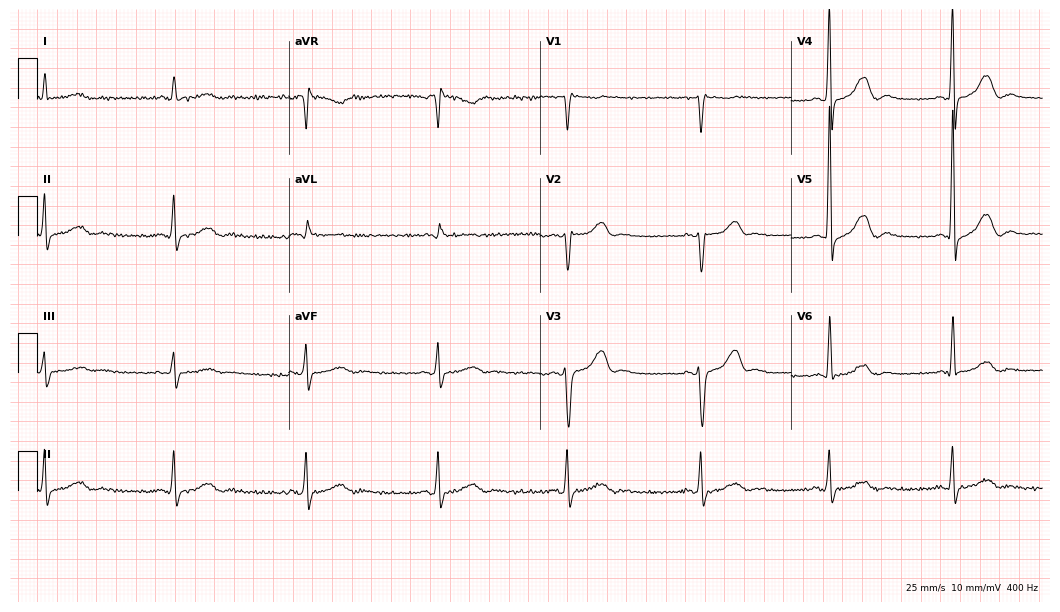
Standard 12-lead ECG recorded from a 55-year-old male (10.2-second recording at 400 Hz). The tracing shows sinus bradycardia (a sinus rate of 50 beats per minute or less).